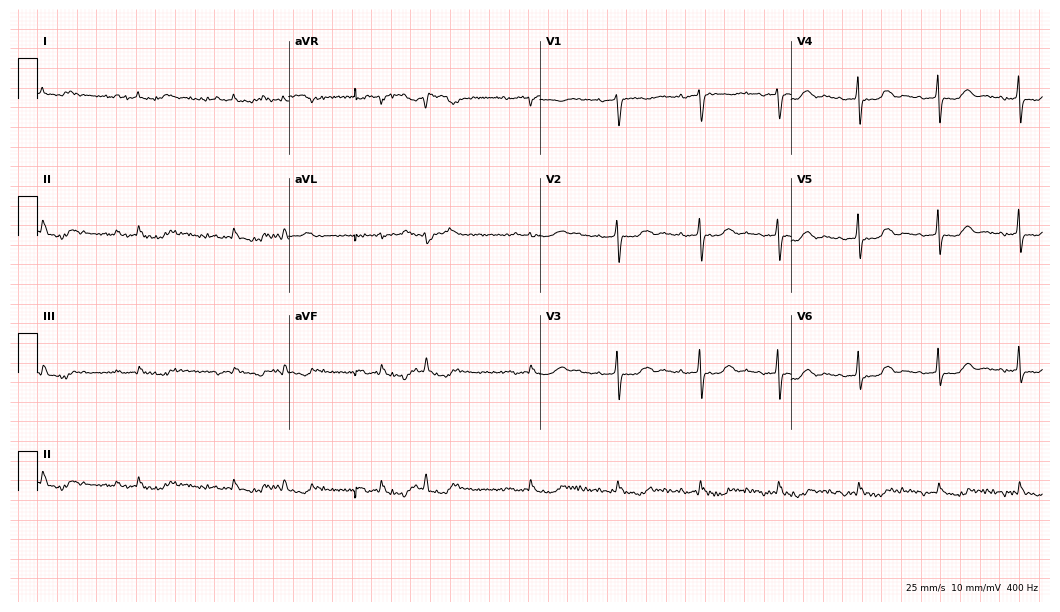
Resting 12-lead electrocardiogram. Patient: a male, 76 years old. None of these six findings is recorded: first-degree AV block, right bundle branch block (RBBB), left bundle branch block (LBBB), sinus bradycardia, atrial fibrillation (AF), sinus tachycardia. Only these six findings were labelled.